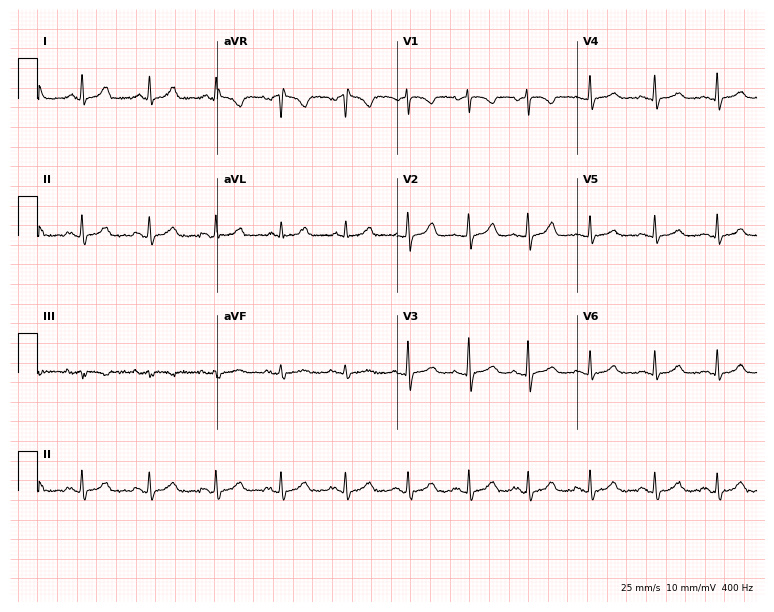
Electrocardiogram (7.3-second recording at 400 Hz), a female, 27 years old. Overall reading on record: normal ECG.